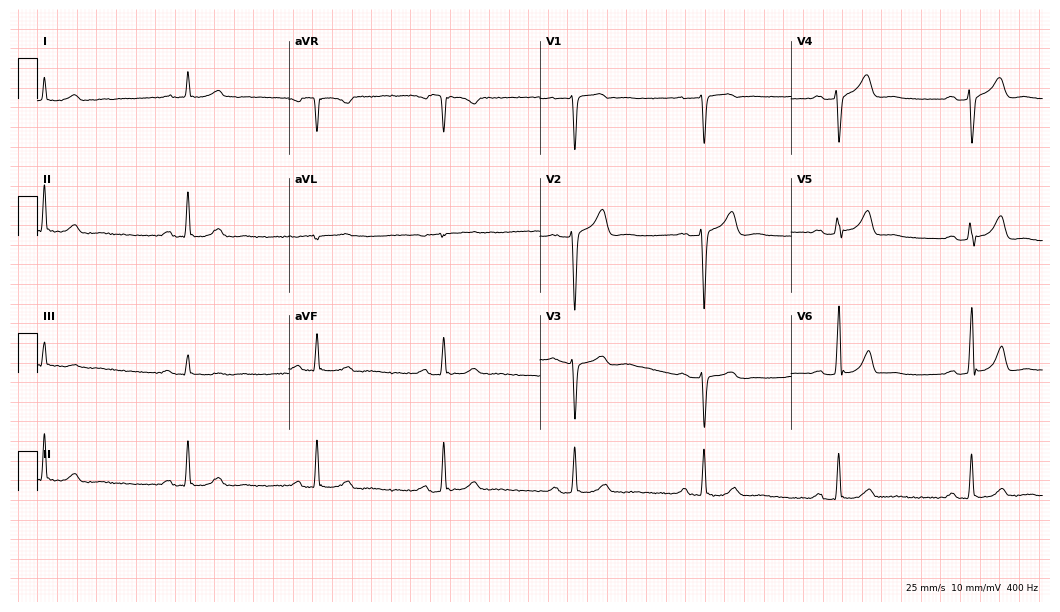
ECG (10.2-second recording at 400 Hz) — a male, 53 years old. Findings include first-degree AV block, sinus bradycardia (a sinus rate of 50 beats per minute or less).